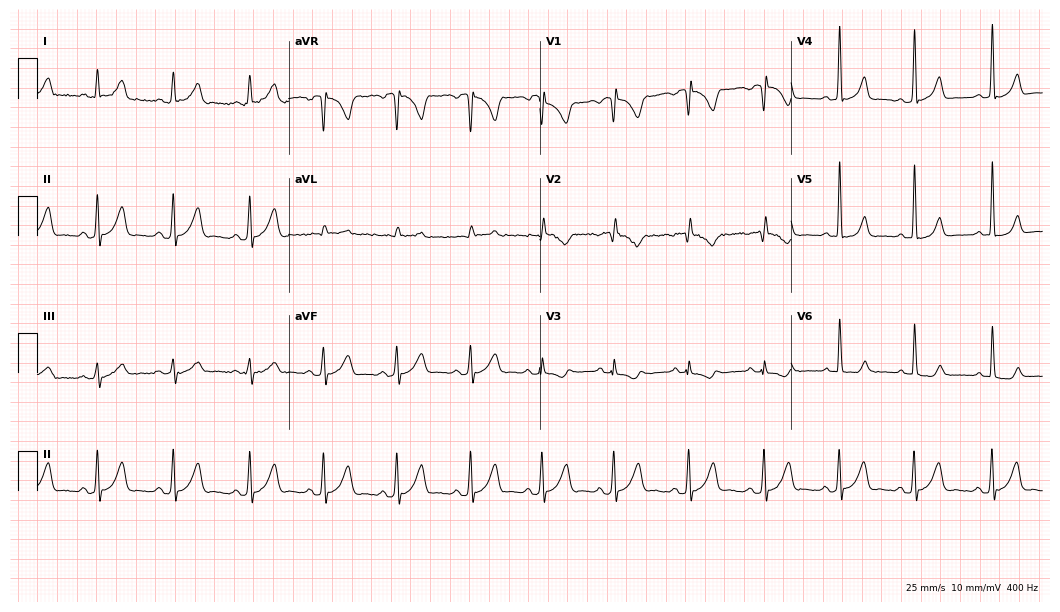
ECG (10.2-second recording at 400 Hz) — a male, 56 years old. Screened for six findings — first-degree AV block, right bundle branch block, left bundle branch block, sinus bradycardia, atrial fibrillation, sinus tachycardia — none is recorded. Findings outside these six are not listed.